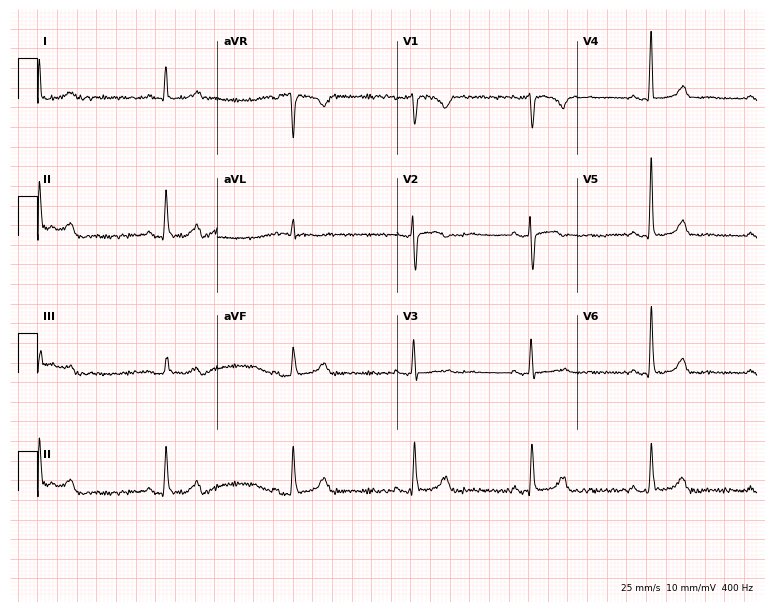
ECG — a female, 49 years old. Screened for six findings — first-degree AV block, right bundle branch block, left bundle branch block, sinus bradycardia, atrial fibrillation, sinus tachycardia — none is recorded.